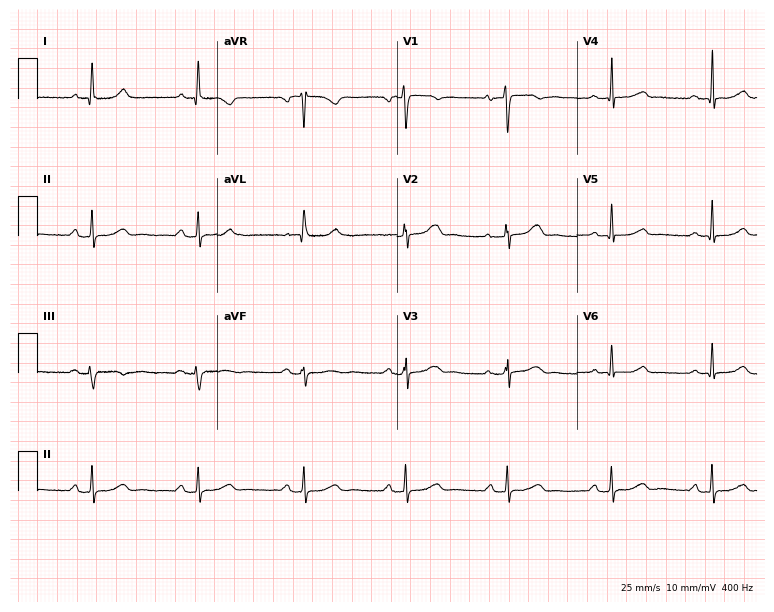
Standard 12-lead ECG recorded from a female patient, 44 years old. None of these six findings is recorded: first-degree AV block, right bundle branch block, left bundle branch block, sinus bradycardia, atrial fibrillation, sinus tachycardia. Other findings, if any, are not listed.